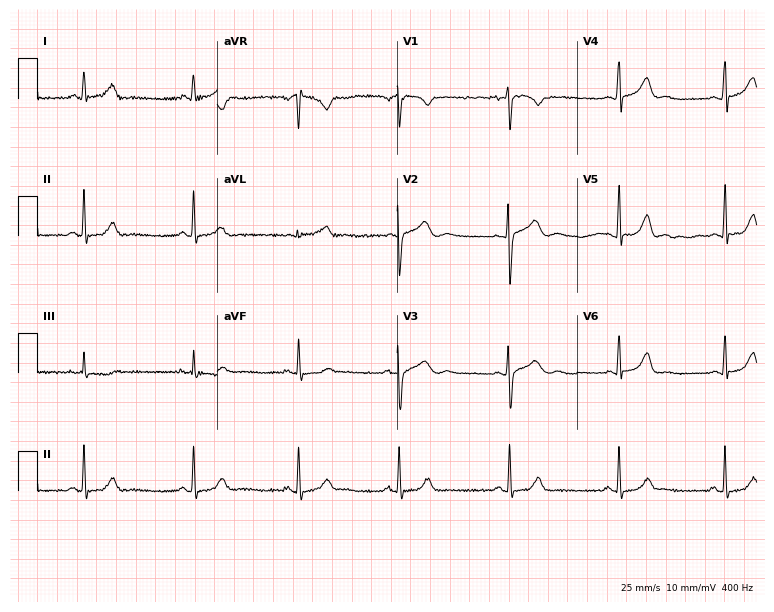
Standard 12-lead ECG recorded from a female, 22 years old (7.3-second recording at 400 Hz). Read as a normal ECG.